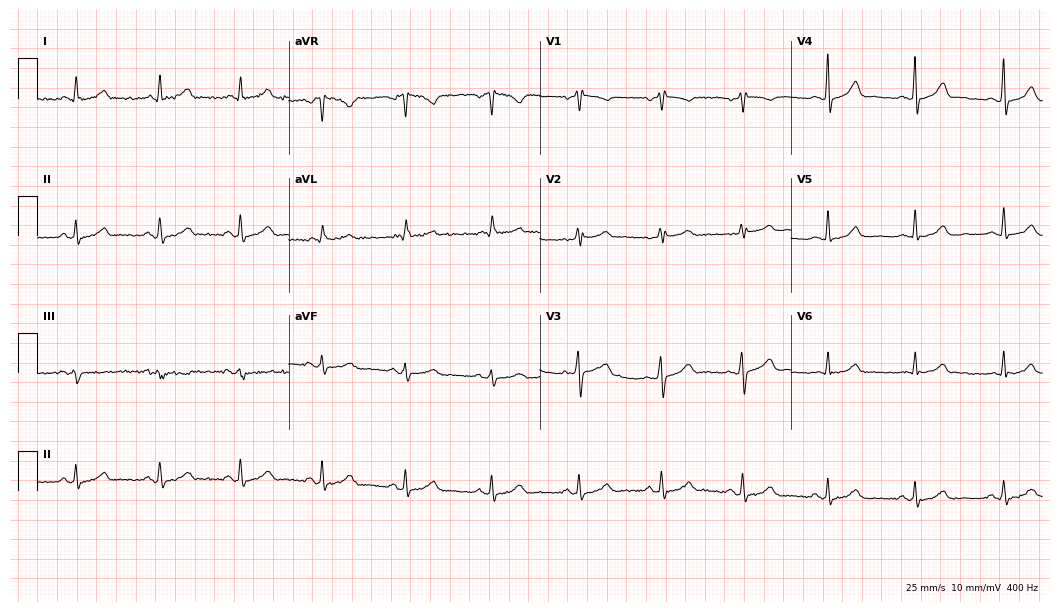
ECG (10.2-second recording at 400 Hz) — a 43-year-old woman. Labelled as a normal ECG.